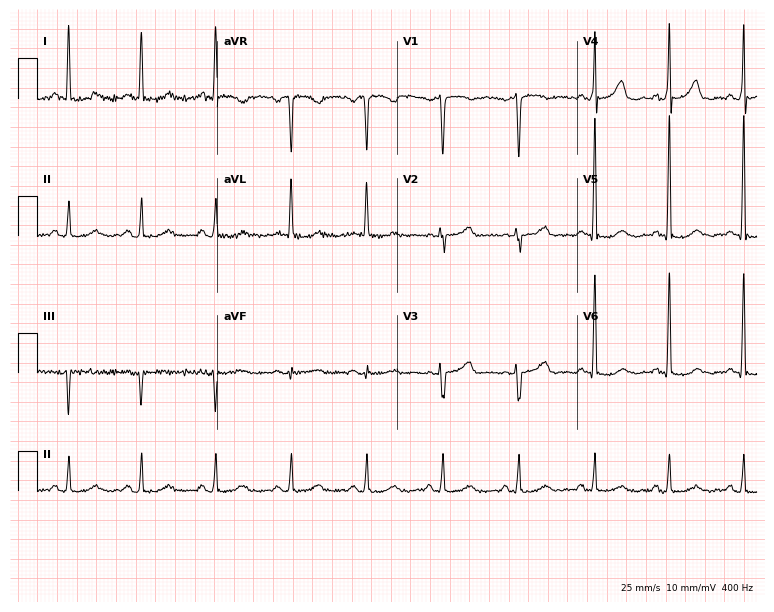
Standard 12-lead ECG recorded from a woman, 56 years old (7.3-second recording at 400 Hz). None of these six findings is recorded: first-degree AV block, right bundle branch block, left bundle branch block, sinus bradycardia, atrial fibrillation, sinus tachycardia. Only these six findings were labelled.